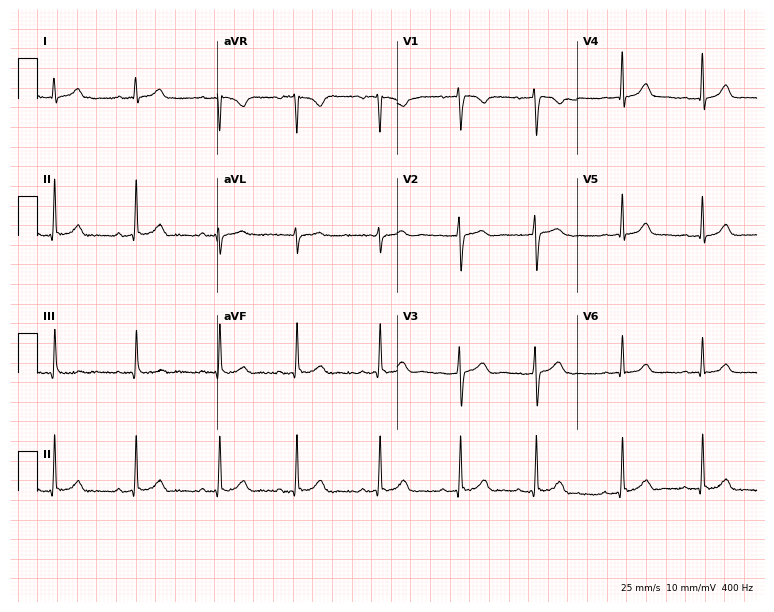
Standard 12-lead ECG recorded from a woman, 18 years old. Read as a normal ECG.